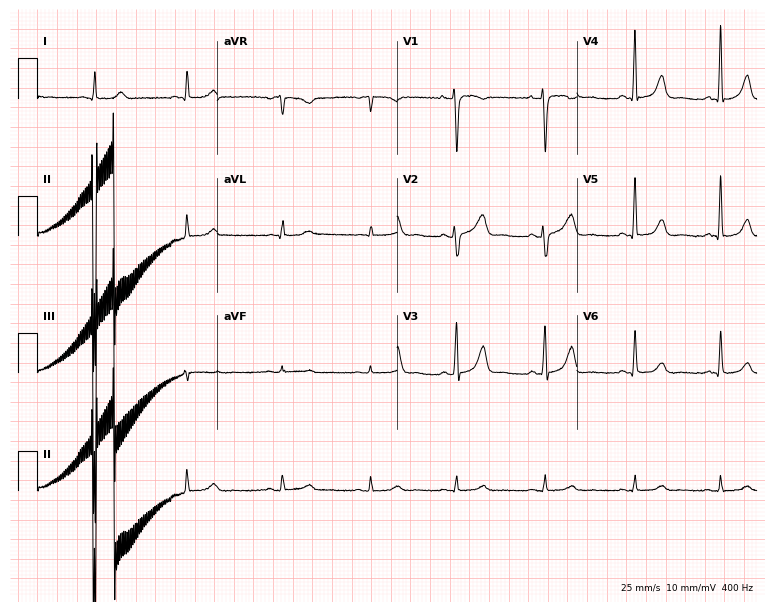
Electrocardiogram, a 40-year-old female patient. Of the six screened findings (first-degree AV block, right bundle branch block (RBBB), left bundle branch block (LBBB), sinus bradycardia, atrial fibrillation (AF), sinus tachycardia), none is recorded.